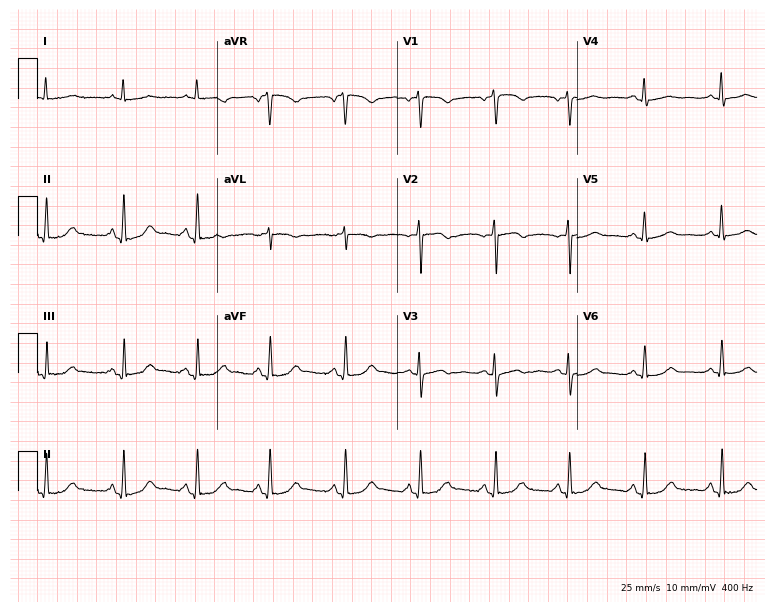
12-lead ECG from a 55-year-old woman (7.3-second recording at 400 Hz). No first-degree AV block, right bundle branch block, left bundle branch block, sinus bradycardia, atrial fibrillation or sinus tachycardia recorded for this tracing.